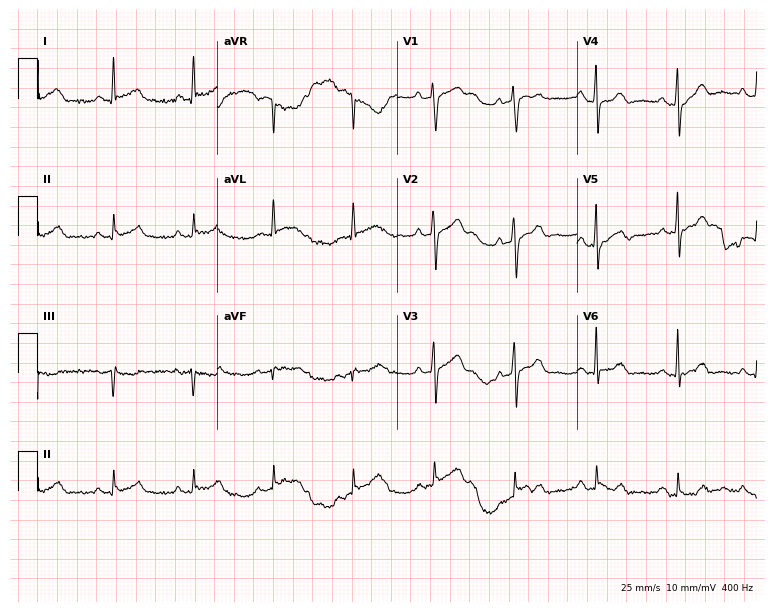
Resting 12-lead electrocardiogram (7.3-second recording at 400 Hz). Patient: a male, 50 years old. Read as a normal ECG.